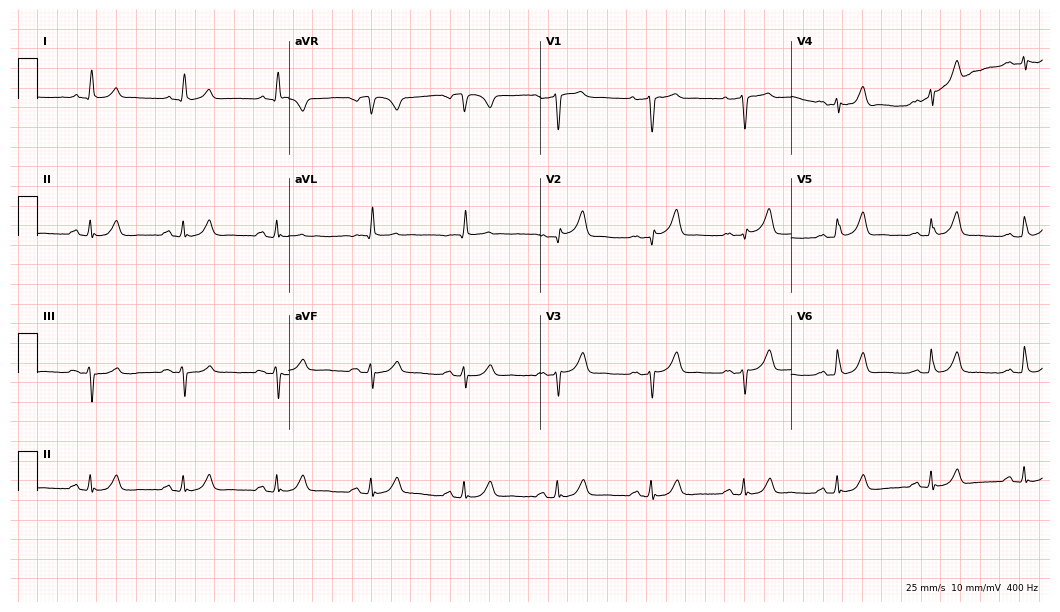
Electrocardiogram (10.2-second recording at 400 Hz), an 81-year-old male patient. Of the six screened findings (first-degree AV block, right bundle branch block, left bundle branch block, sinus bradycardia, atrial fibrillation, sinus tachycardia), none is recorded. Other findings, if any, are not listed.